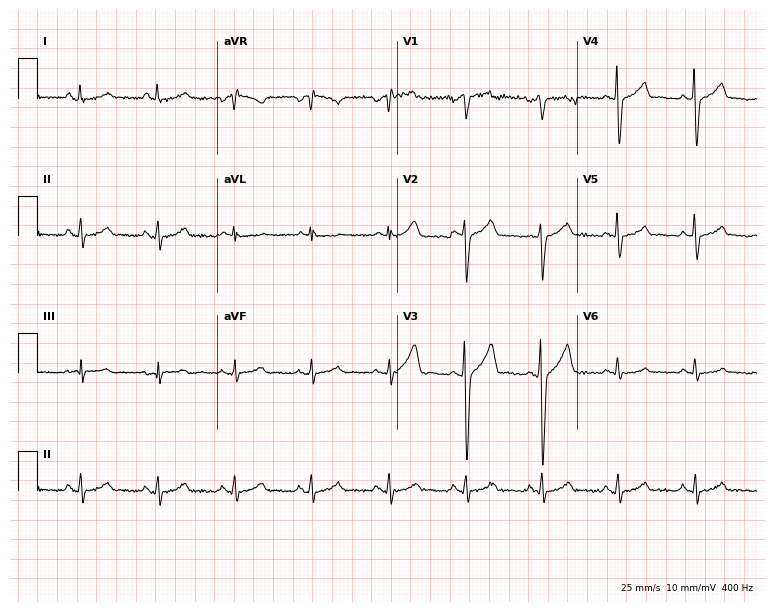
Resting 12-lead electrocardiogram. Patient: a man, 52 years old. Read as a normal ECG.